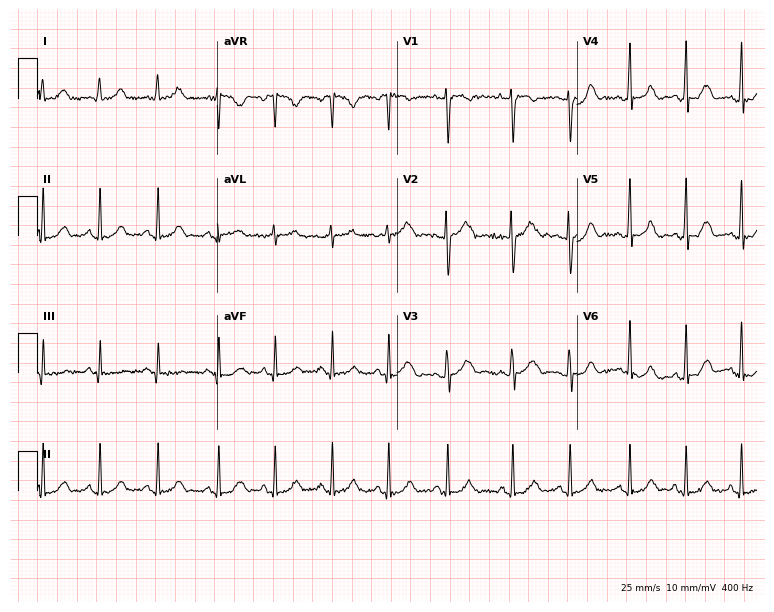
Electrocardiogram (7.3-second recording at 400 Hz), a woman, 30 years old. Interpretation includes sinus tachycardia (a sinus rate of 100 beats per minute or more).